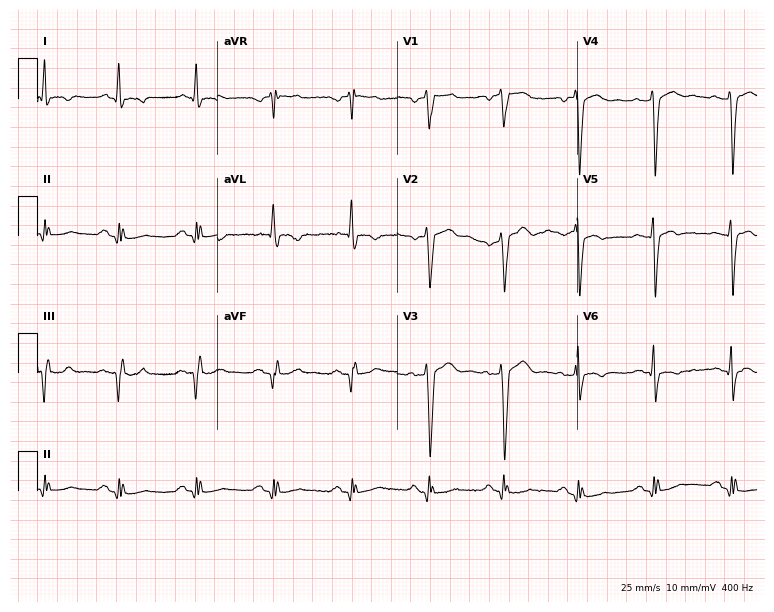
Standard 12-lead ECG recorded from a male, 64 years old (7.3-second recording at 400 Hz). None of these six findings is recorded: first-degree AV block, right bundle branch block (RBBB), left bundle branch block (LBBB), sinus bradycardia, atrial fibrillation (AF), sinus tachycardia.